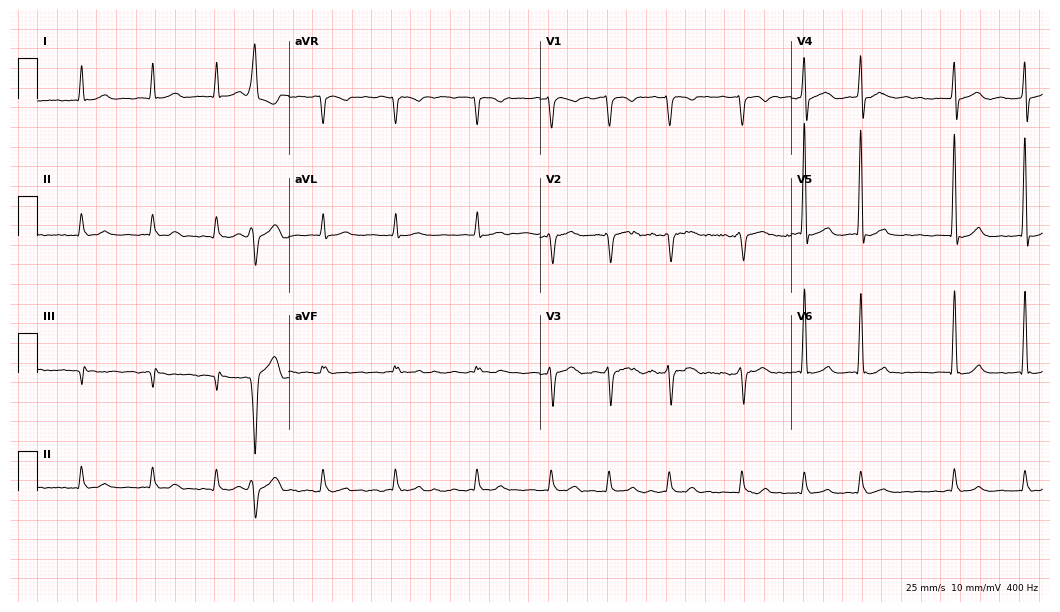
Electrocardiogram, a male patient, 70 years old. Interpretation includes atrial fibrillation.